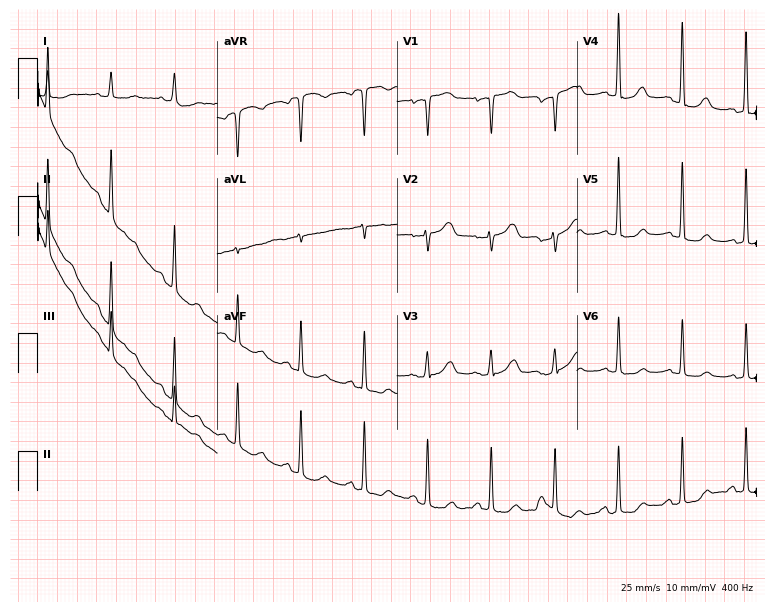
Standard 12-lead ECG recorded from a woman, 84 years old. None of these six findings is recorded: first-degree AV block, right bundle branch block, left bundle branch block, sinus bradycardia, atrial fibrillation, sinus tachycardia. Only these six findings were labelled.